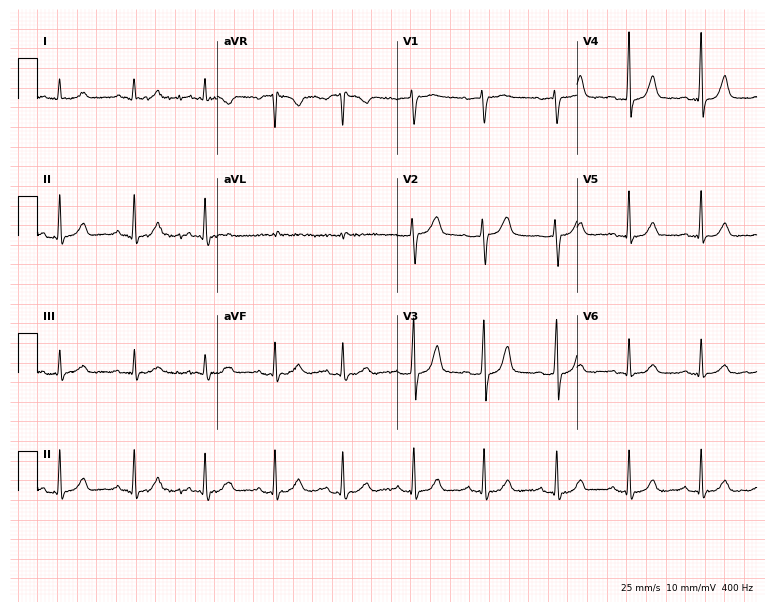
Standard 12-lead ECG recorded from a 38-year-old female patient (7.3-second recording at 400 Hz). Read as a normal ECG.